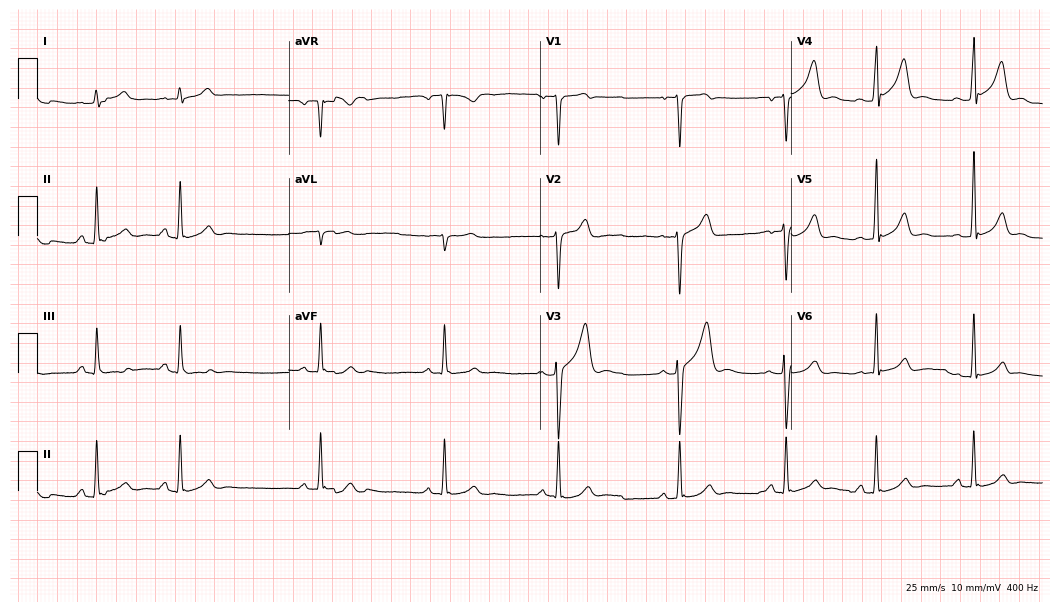
ECG — a male patient, 19 years old. Labelled as a normal ECG.